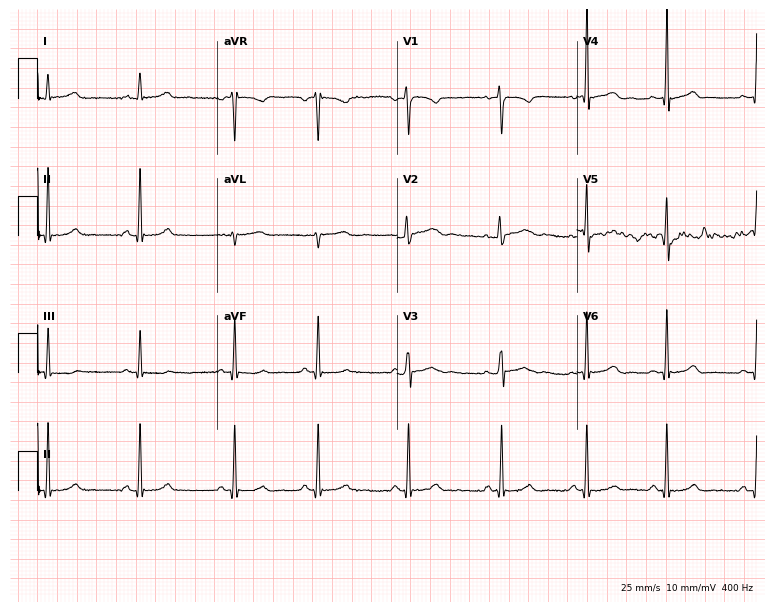
Resting 12-lead electrocardiogram. Patient: a 23-year-old woman. Read as a normal ECG.